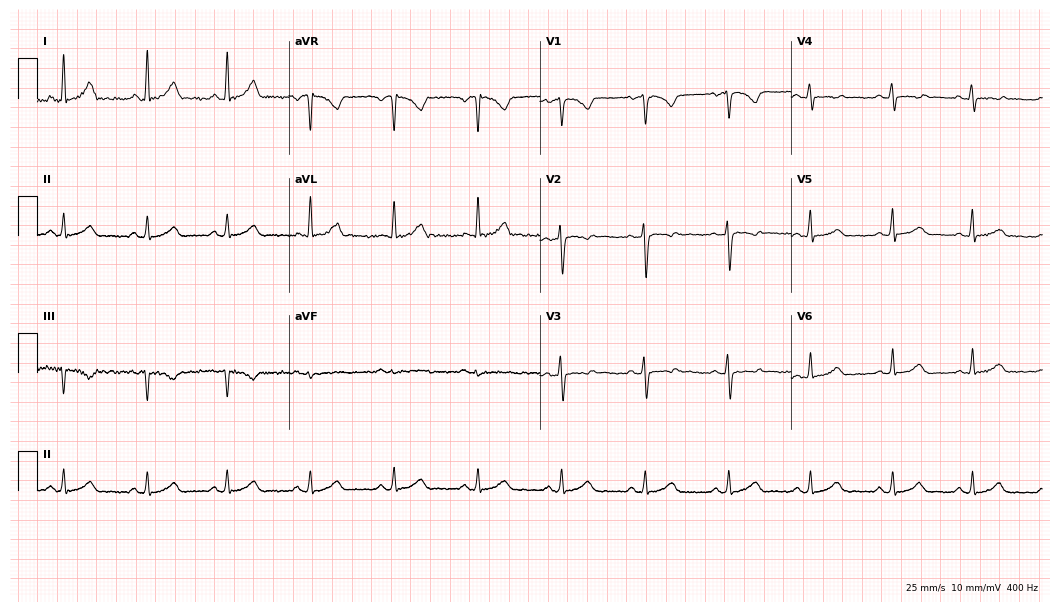
12-lead ECG from a 30-year-old female patient. No first-degree AV block, right bundle branch block, left bundle branch block, sinus bradycardia, atrial fibrillation or sinus tachycardia recorded for this tracing. Other findings, if any, are not listed.